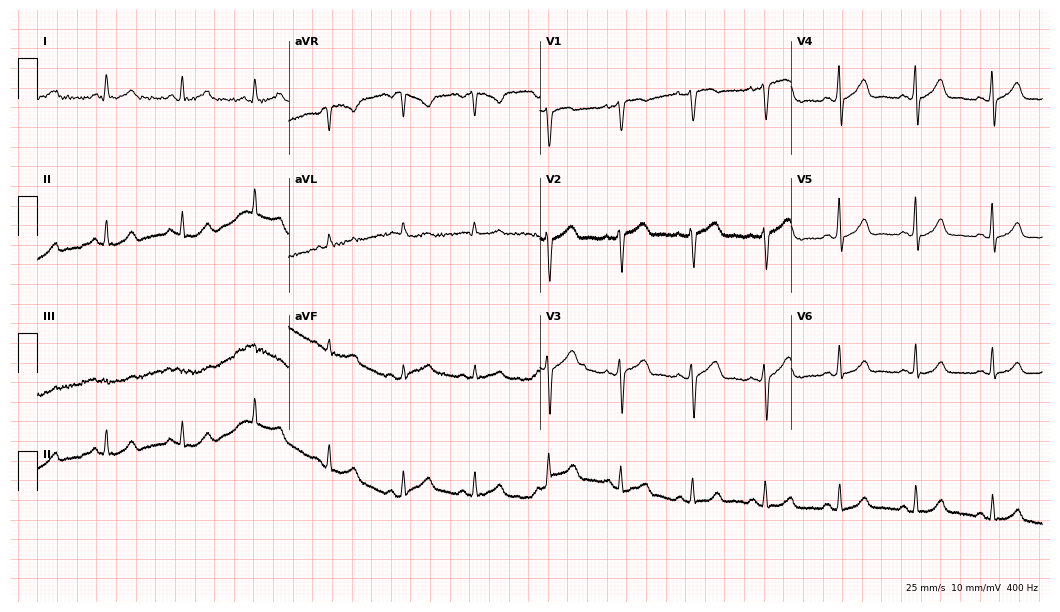
12-lead ECG (10.2-second recording at 400 Hz) from a female patient, 55 years old. Labelled as a normal ECG.